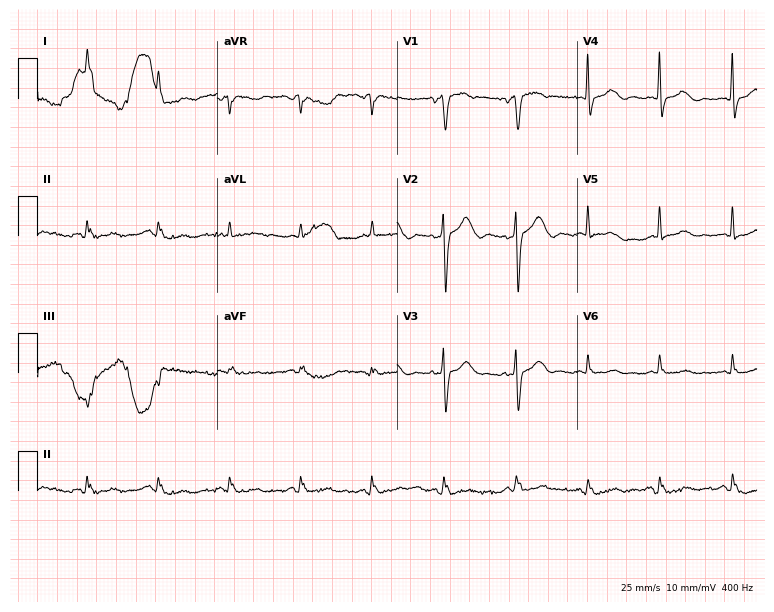
12-lead ECG from a male patient, 82 years old. No first-degree AV block, right bundle branch block, left bundle branch block, sinus bradycardia, atrial fibrillation or sinus tachycardia recorded for this tracing.